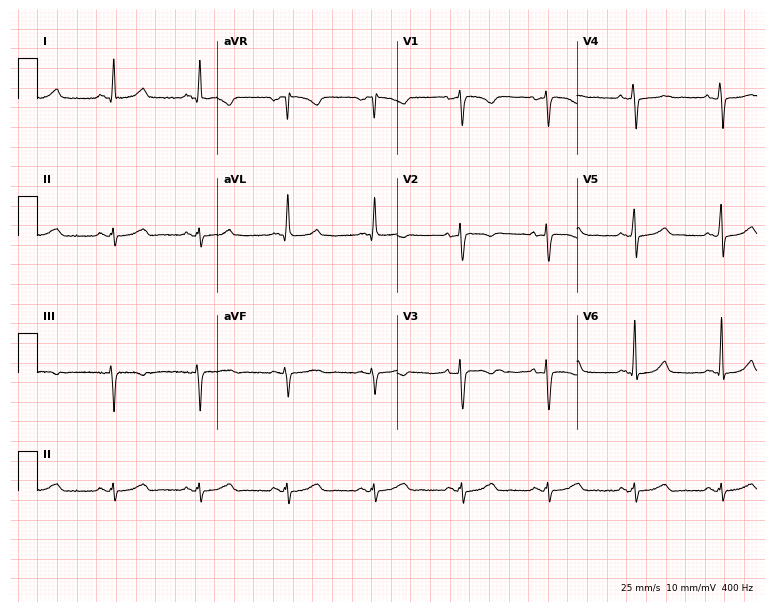
ECG (7.3-second recording at 400 Hz) — a female patient, 48 years old. Screened for six findings — first-degree AV block, right bundle branch block, left bundle branch block, sinus bradycardia, atrial fibrillation, sinus tachycardia — none is recorded.